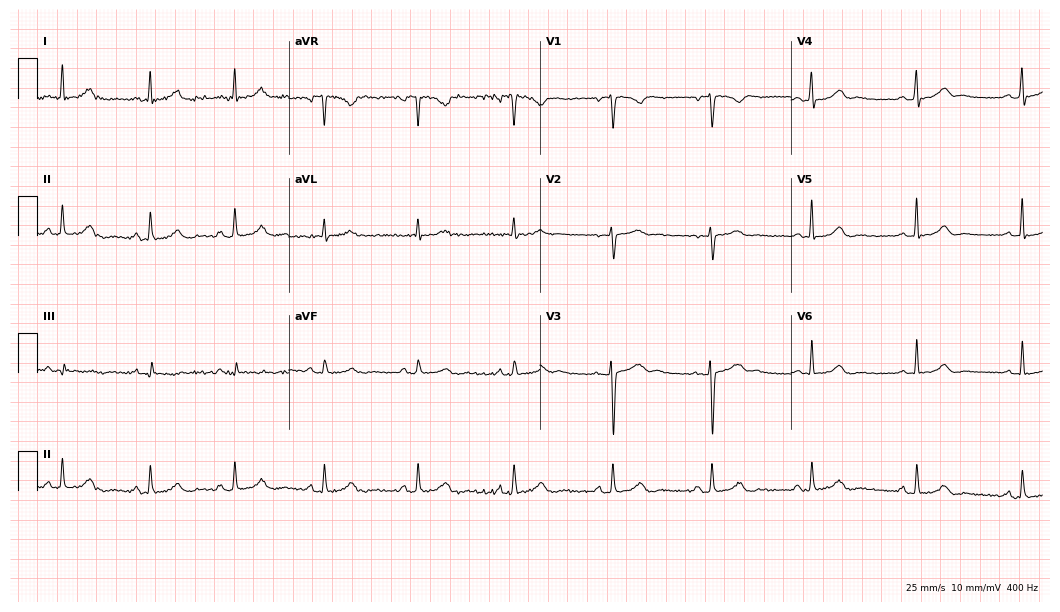
12-lead ECG from a 24-year-old female patient. Labelled as a normal ECG.